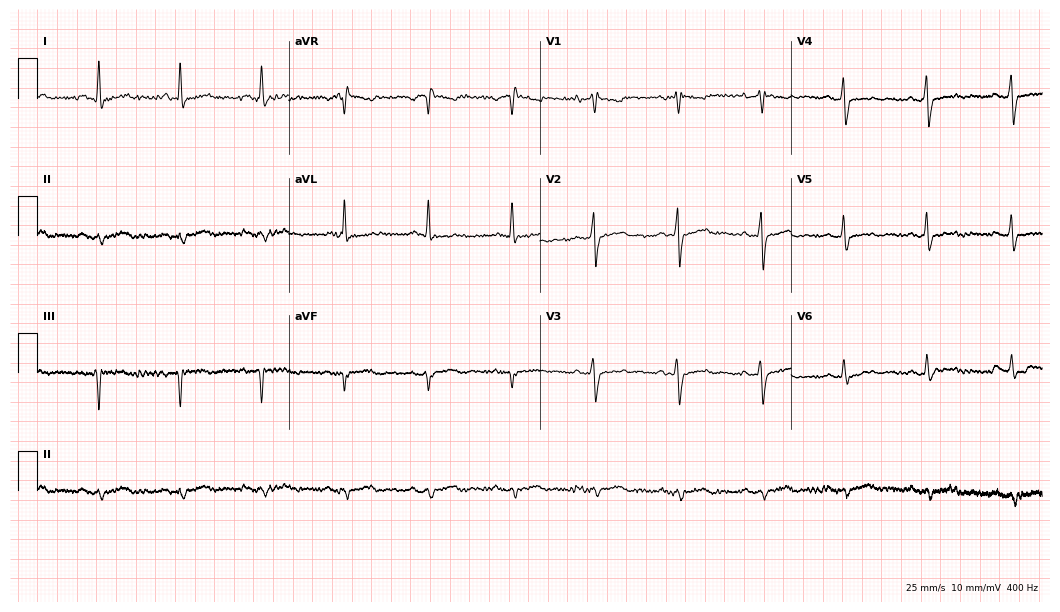
12-lead ECG from a 51-year-old male patient. Screened for six findings — first-degree AV block, right bundle branch block, left bundle branch block, sinus bradycardia, atrial fibrillation, sinus tachycardia — none is recorded. Findings outside these six are not listed.